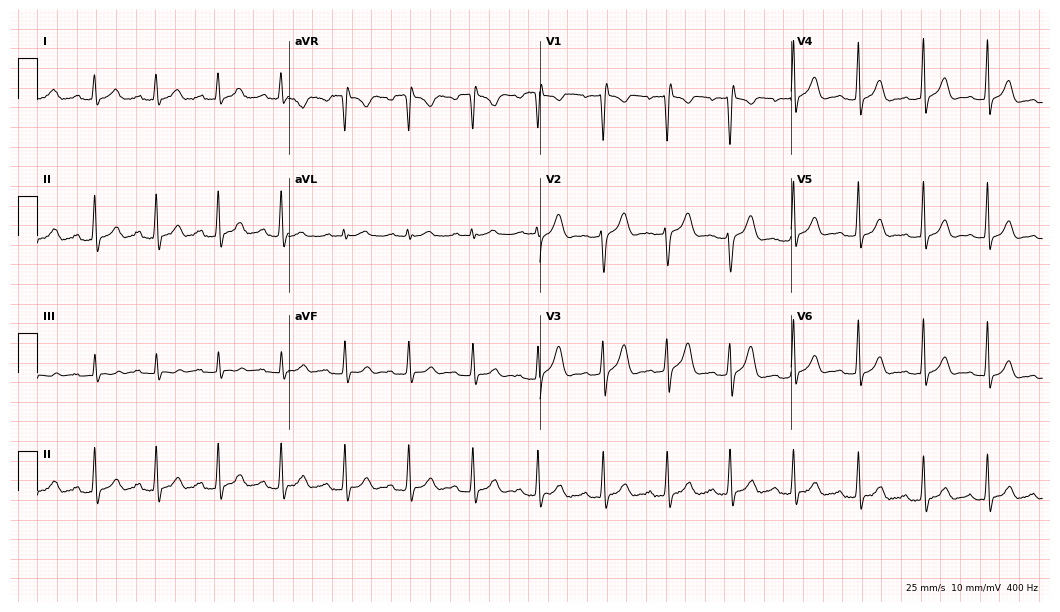
Resting 12-lead electrocardiogram. Patient: a 23-year-old woman. None of these six findings is recorded: first-degree AV block, right bundle branch block, left bundle branch block, sinus bradycardia, atrial fibrillation, sinus tachycardia. Other findings, if any, are not listed.